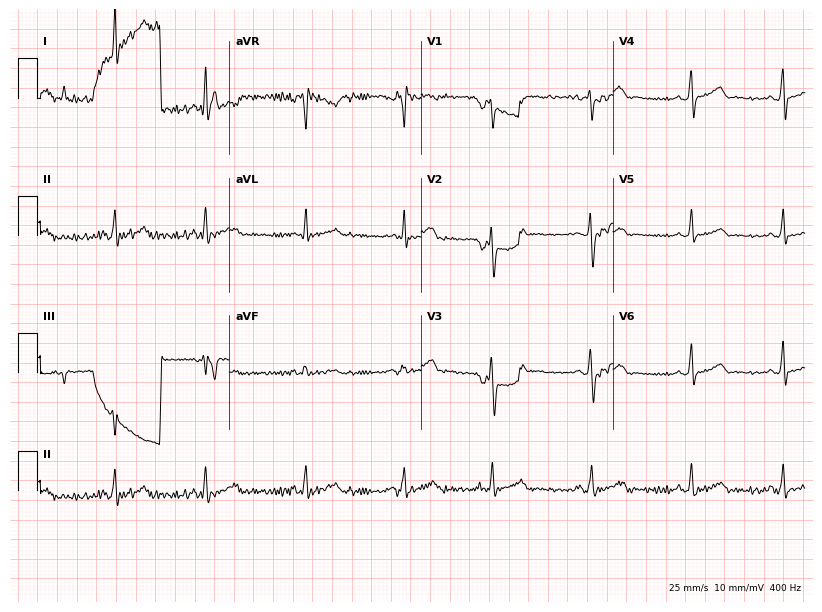
ECG — a 21-year-old woman. Screened for six findings — first-degree AV block, right bundle branch block, left bundle branch block, sinus bradycardia, atrial fibrillation, sinus tachycardia — none is recorded. Findings outside these six are not listed.